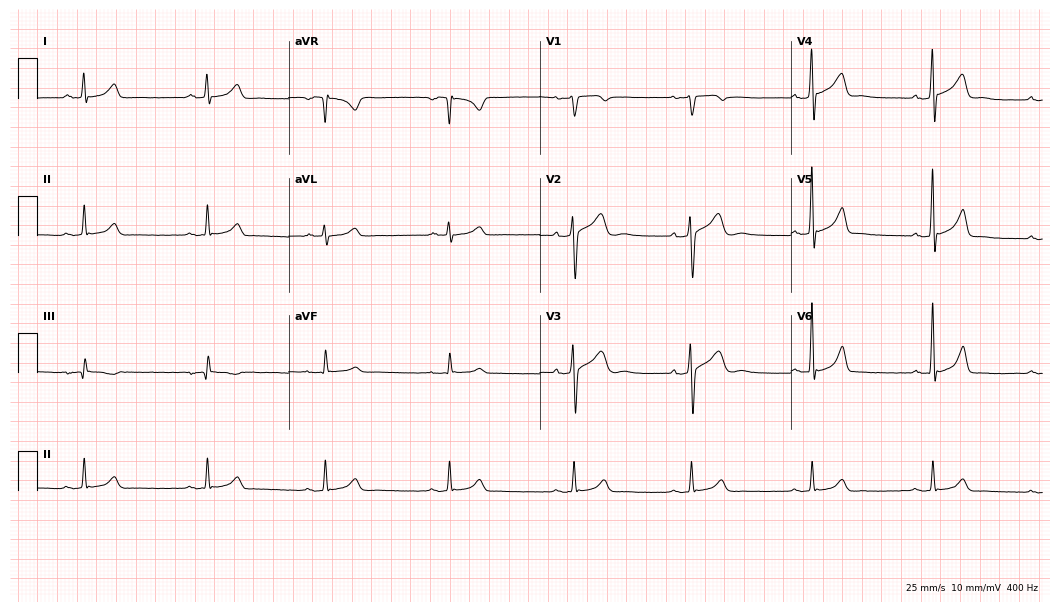
Electrocardiogram (10.2-second recording at 400 Hz), a 33-year-old male patient. Of the six screened findings (first-degree AV block, right bundle branch block, left bundle branch block, sinus bradycardia, atrial fibrillation, sinus tachycardia), none is recorded.